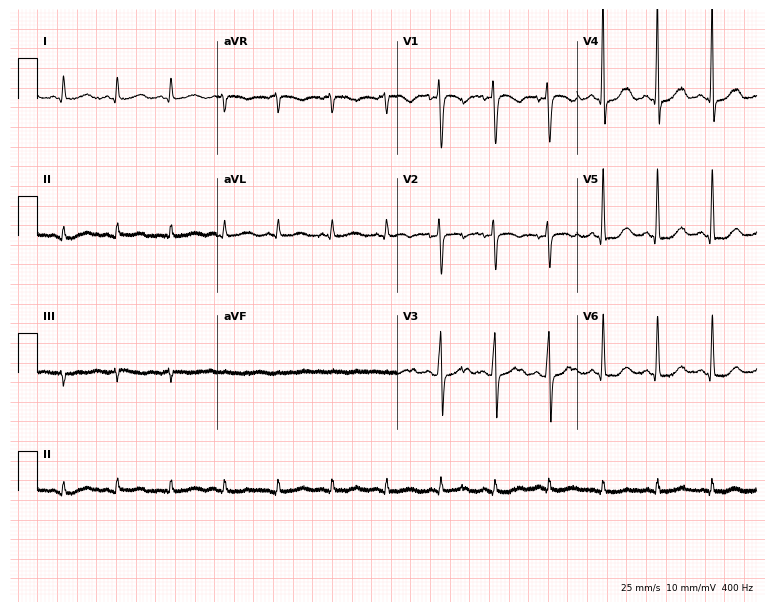
12-lead ECG from a female patient, 40 years old (7.3-second recording at 400 Hz). Shows sinus tachycardia (a sinus rate of 100 beats per minute or more).